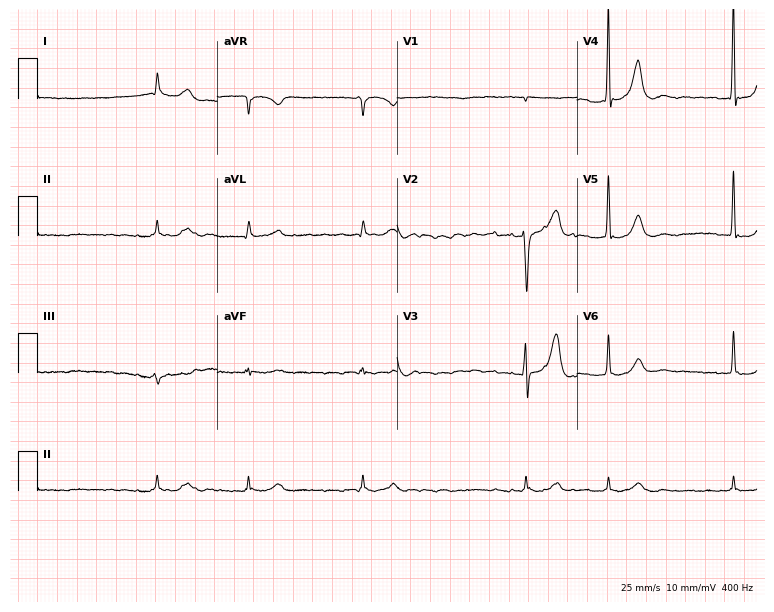
ECG — a man, 71 years old. Findings include atrial fibrillation.